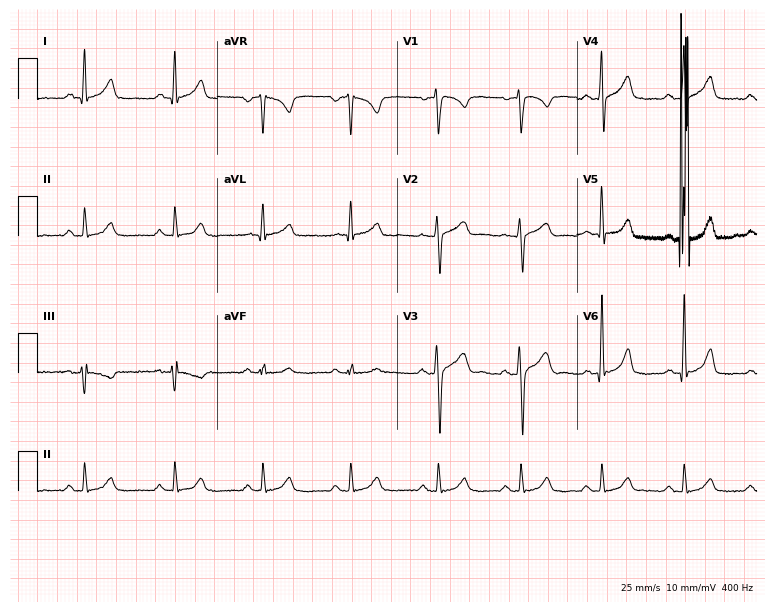
Resting 12-lead electrocardiogram (7.3-second recording at 400 Hz). Patient: a male, 36 years old. Read as a normal ECG.